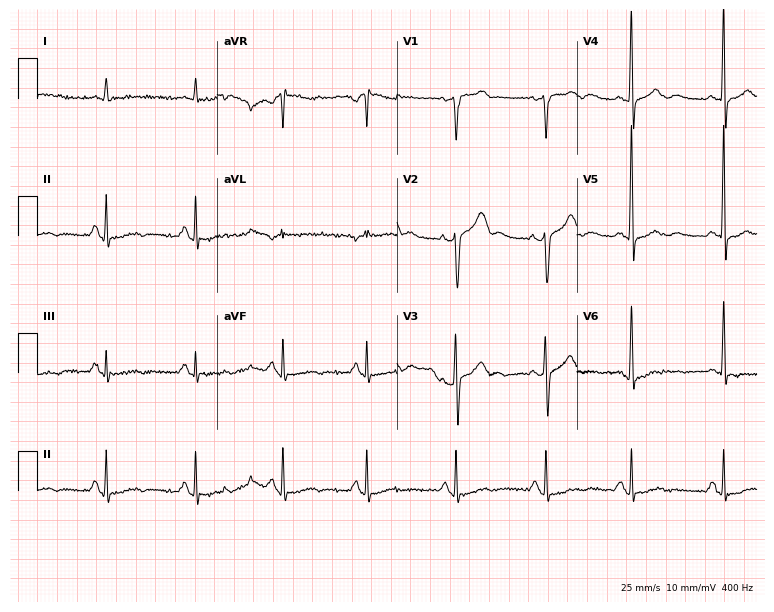
Standard 12-lead ECG recorded from a 72-year-old male patient (7.3-second recording at 400 Hz). None of these six findings is recorded: first-degree AV block, right bundle branch block, left bundle branch block, sinus bradycardia, atrial fibrillation, sinus tachycardia.